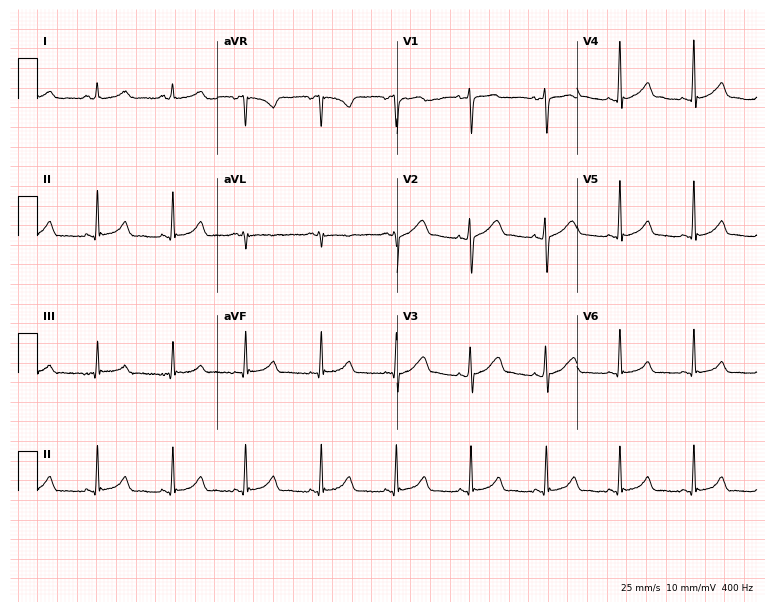
12-lead ECG from a 24-year-old woman. Screened for six findings — first-degree AV block, right bundle branch block, left bundle branch block, sinus bradycardia, atrial fibrillation, sinus tachycardia — none is recorded. Findings outside these six are not listed.